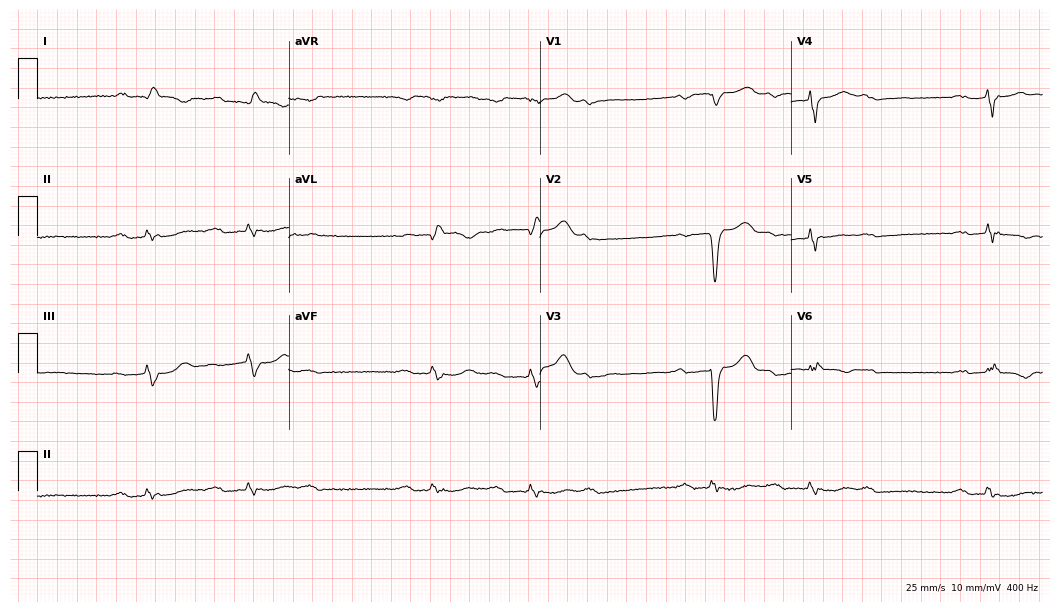
12-lead ECG from a 77-year-old male. Findings include left bundle branch block (LBBB), atrial fibrillation (AF).